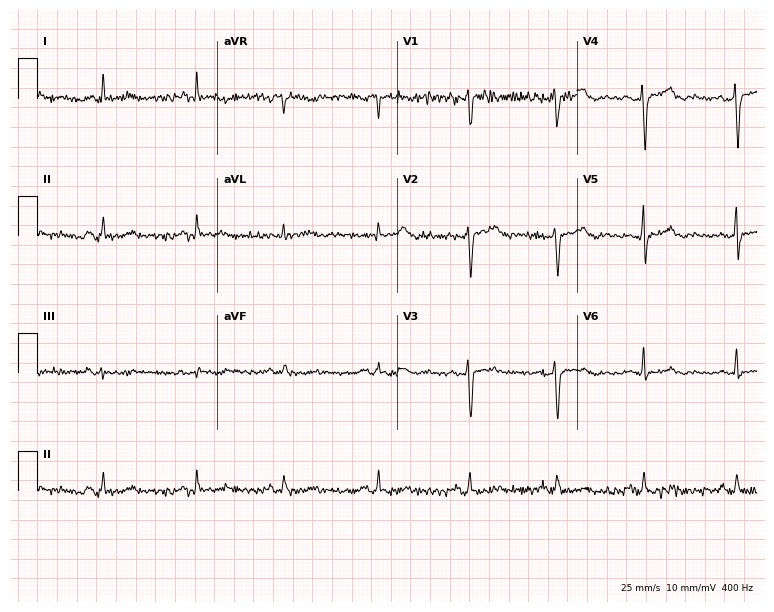
Standard 12-lead ECG recorded from a woman, 51 years old. None of these six findings is recorded: first-degree AV block, right bundle branch block (RBBB), left bundle branch block (LBBB), sinus bradycardia, atrial fibrillation (AF), sinus tachycardia.